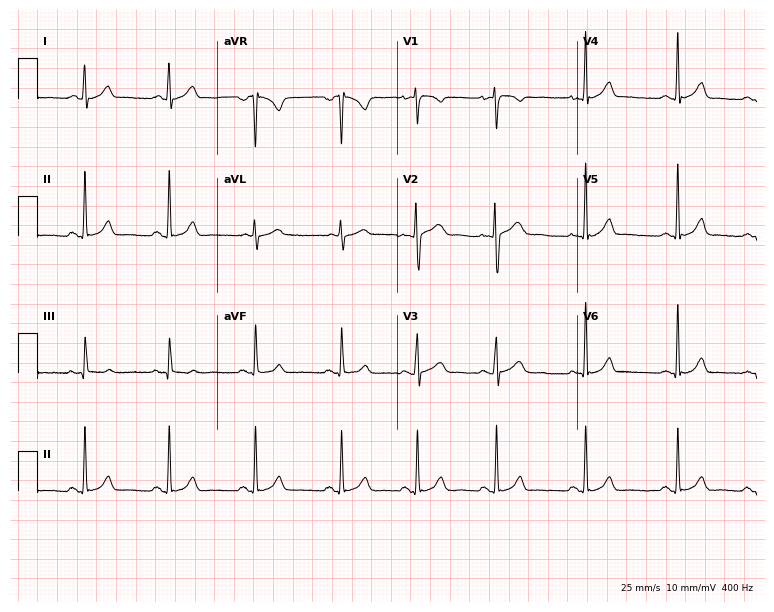
Standard 12-lead ECG recorded from a woman, 20 years old (7.3-second recording at 400 Hz). Read as a normal ECG.